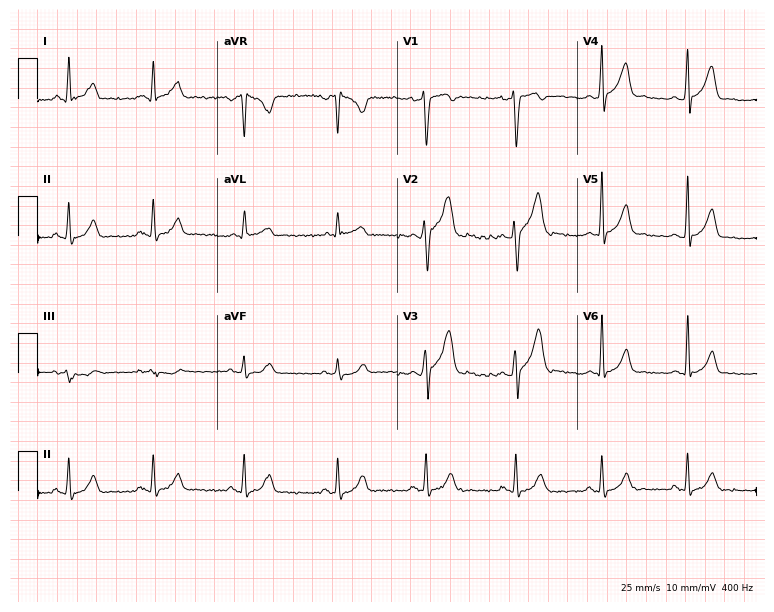
12-lead ECG from a 34-year-old male. Screened for six findings — first-degree AV block, right bundle branch block (RBBB), left bundle branch block (LBBB), sinus bradycardia, atrial fibrillation (AF), sinus tachycardia — none is recorded. Only these six findings were labelled.